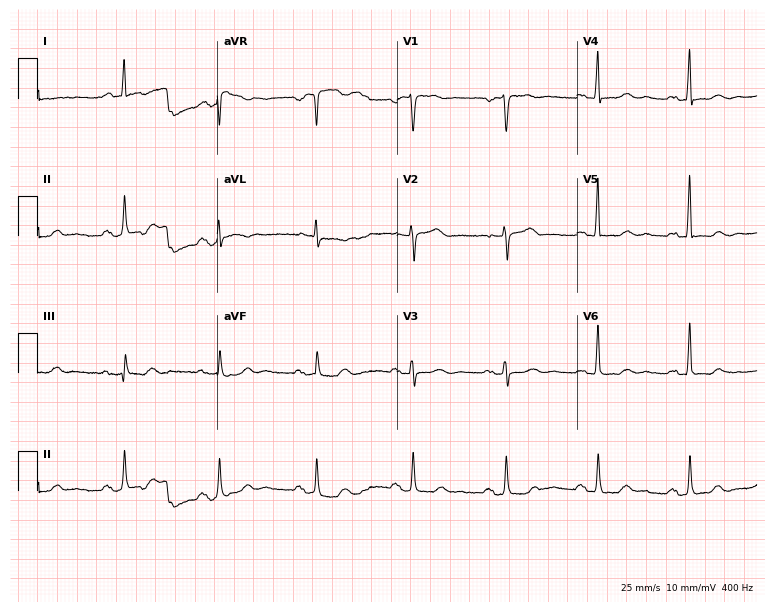
Resting 12-lead electrocardiogram. Patient: an 80-year-old female. Read as a normal ECG.